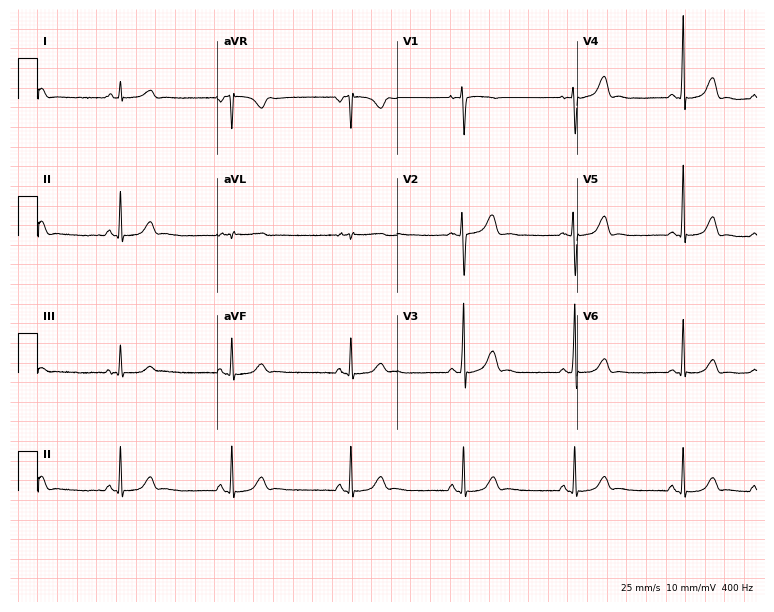
12-lead ECG (7.3-second recording at 400 Hz) from a 25-year-old female patient. Labelled as a normal ECG.